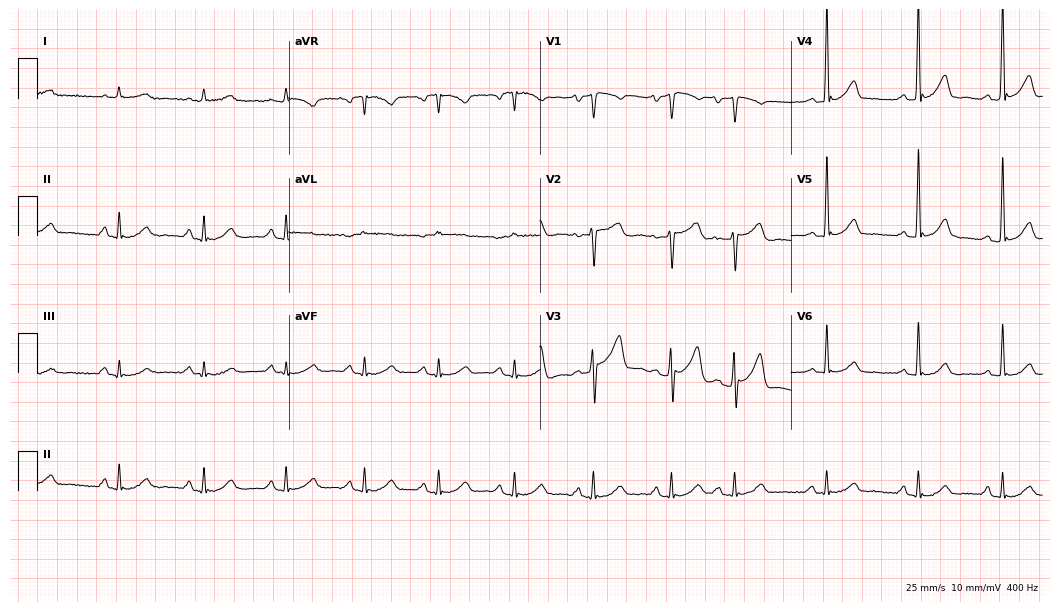
ECG — a male, 79 years old. Labelled as a normal ECG.